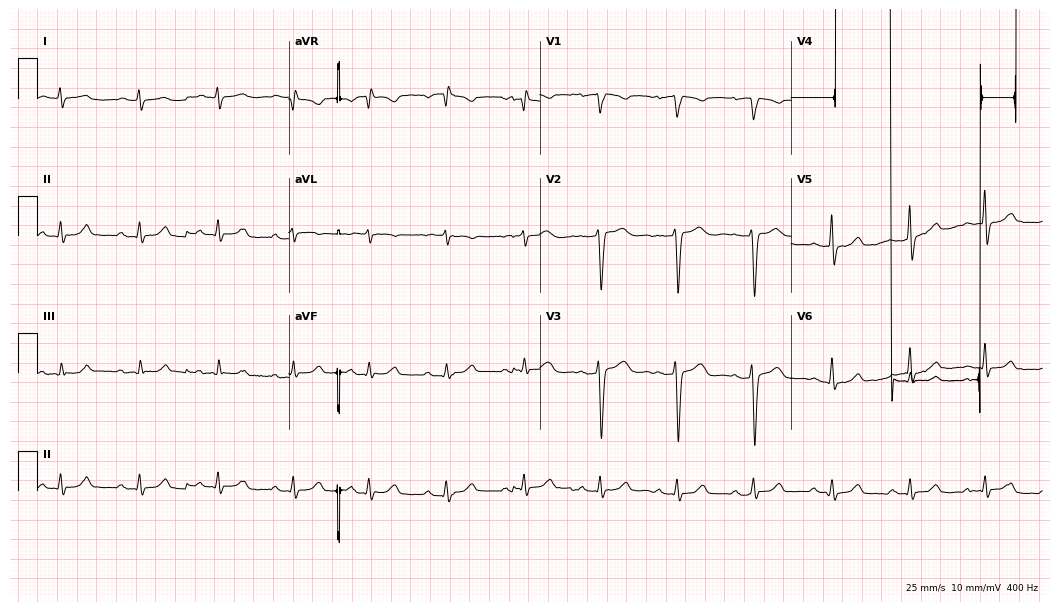
12-lead ECG from a 41-year-old male patient. Labelled as a normal ECG.